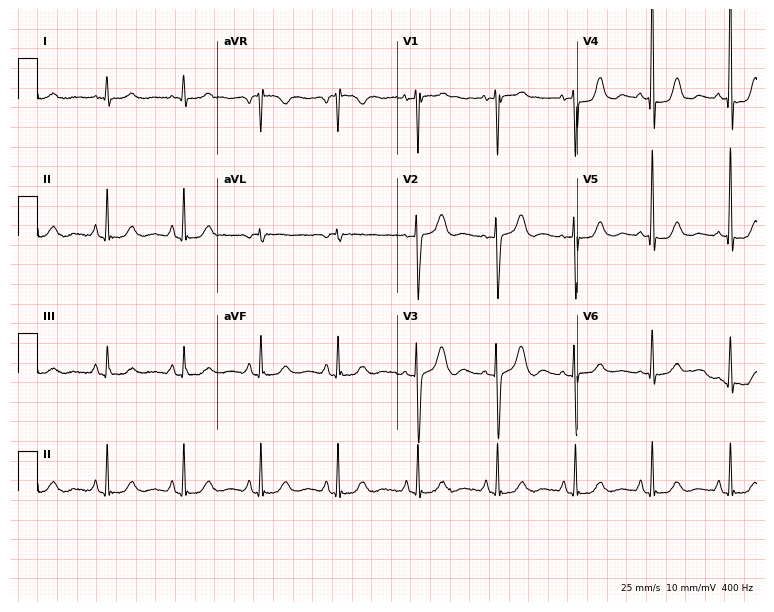
Resting 12-lead electrocardiogram (7.3-second recording at 400 Hz). Patient: a 69-year-old male. Read as a normal ECG.